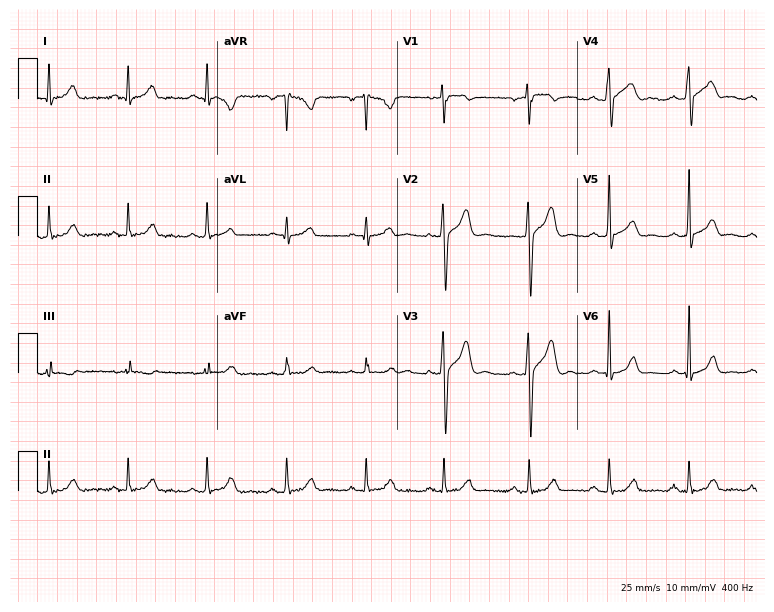
Electrocardiogram, a male, 48 years old. Overall reading on record: normal ECG.